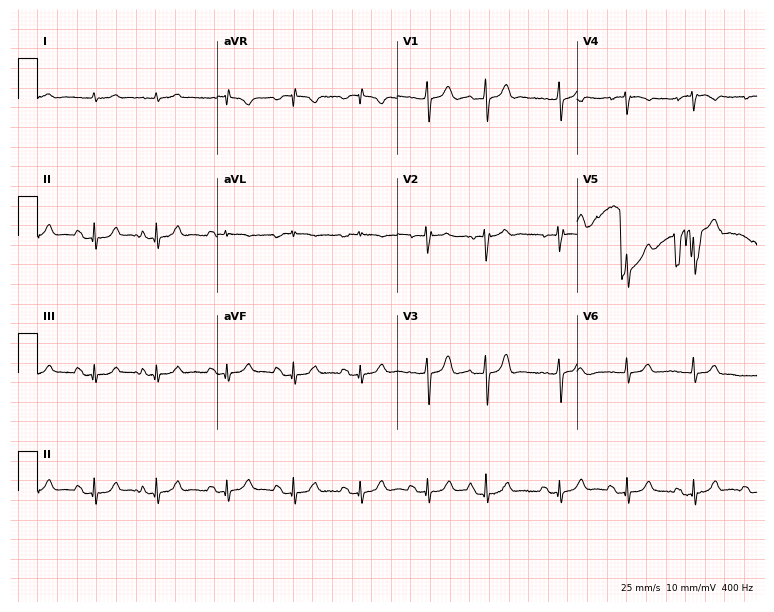
Electrocardiogram (7.3-second recording at 400 Hz), an 81-year-old man. Of the six screened findings (first-degree AV block, right bundle branch block, left bundle branch block, sinus bradycardia, atrial fibrillation, sinus tachycardia), none is recorded. Only these six findings were labelled.